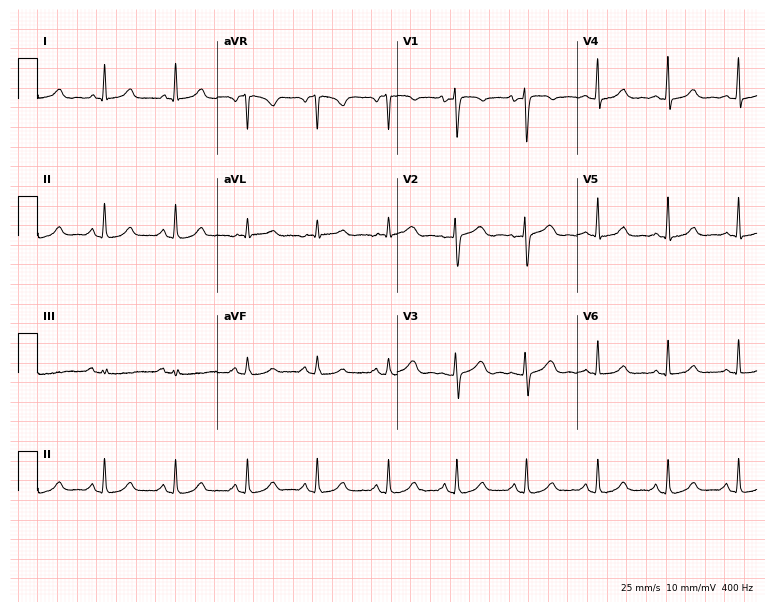
Electrocardiogram, a 50-year-old female patient. Of the six screened findings (first-degree AV block, right bundle branch block, left bundle branch block, sinus bradycardia, atrial fibrillation, sinus tachycardia), none is recorded. Only these six findings were labelled.